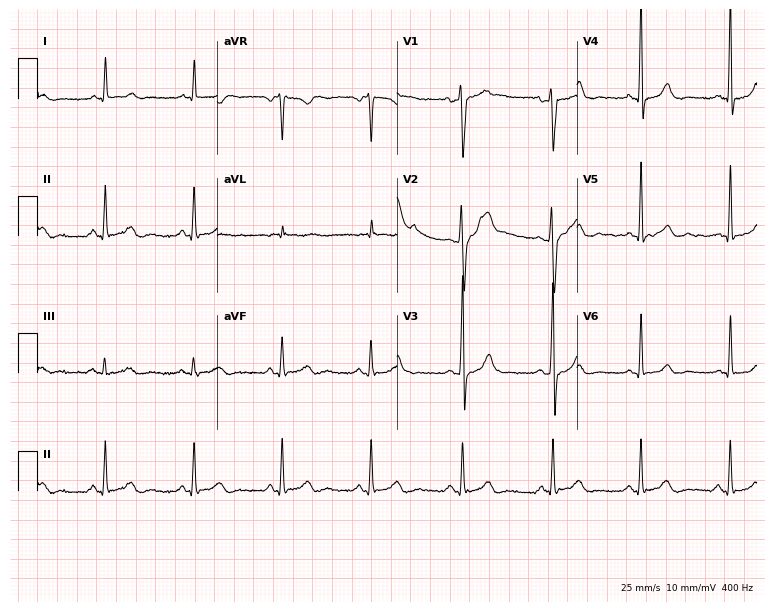
12-lead ECG from a 42-year-old man. No first-degree AV block, right bundle branch block (RBBB), left bundle branch block (LBBB), sinus bradycardia, atrial fibrillation (AF) or sinus tachycardia recorded for this tracing.